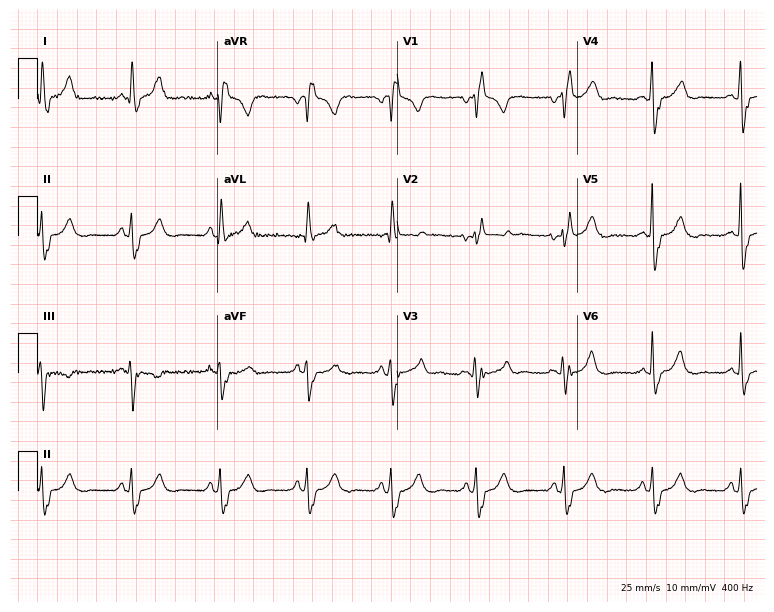
12-lead ECG from a woman, 42 years old. Findings include right bundle branch block.